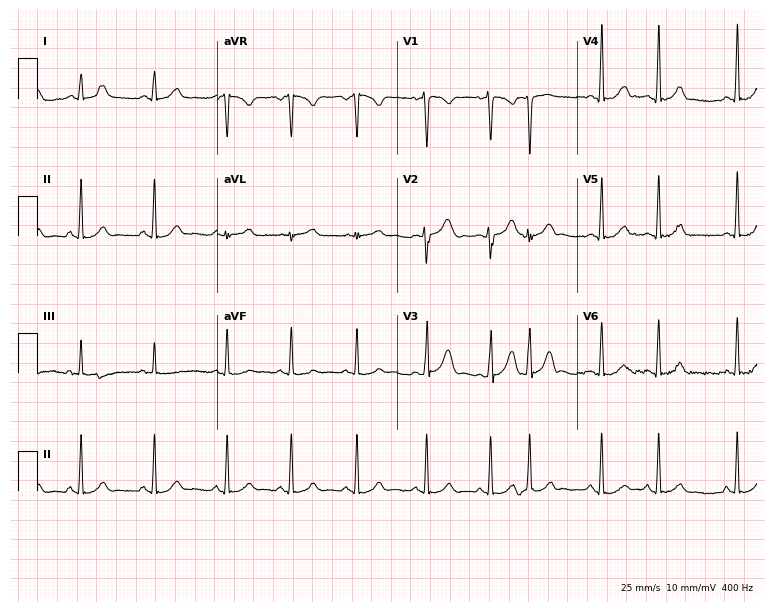
Standard 12-lead ECG recorded from a female patient, 25 years old (7.3-second recording at 400 Hz). None of these six findings is recorded: first-degree AV block, right bundle branch block (RBBB), left bundle branch block (LBBB), sinus bradycardia, atrial fibrillation (AF), sinus tachycardia. Findings outside these six are not listed.